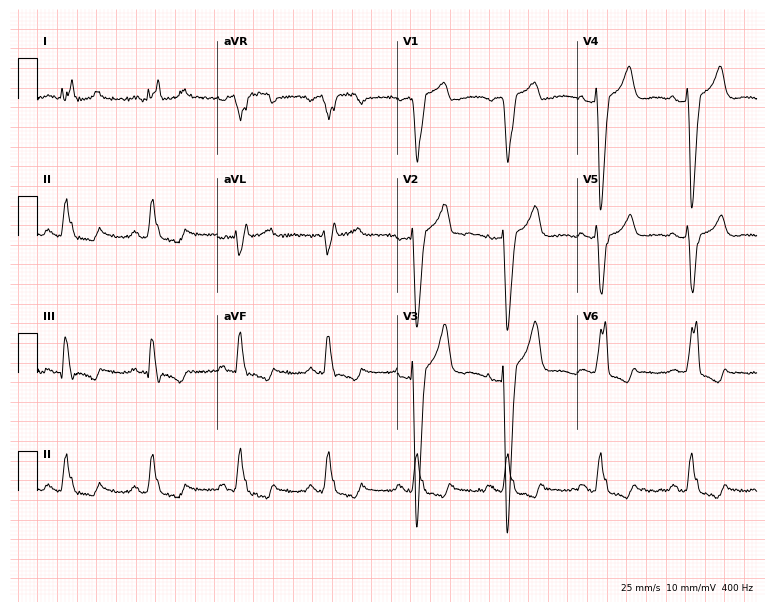
12-lead ECG from a 55-year-old woman. Findings include left bundle branch block.